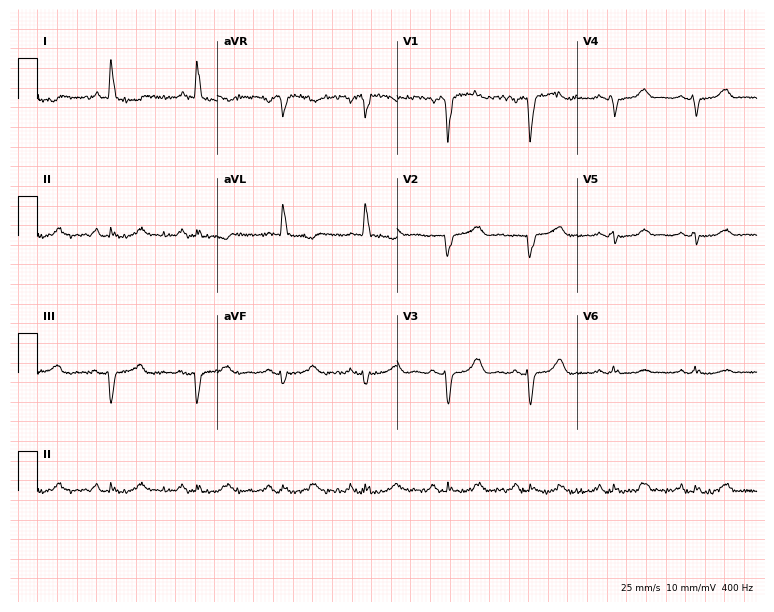
Electrocardiogram (7.3-second recording at 400 Hz), a female, 58 years old. Of the six screened findings (first-degree AV block, right bundle branch block, left bundle branch block, sinus bradycardia, atrial fibrillation, sinus tachycardia), none is recorded.